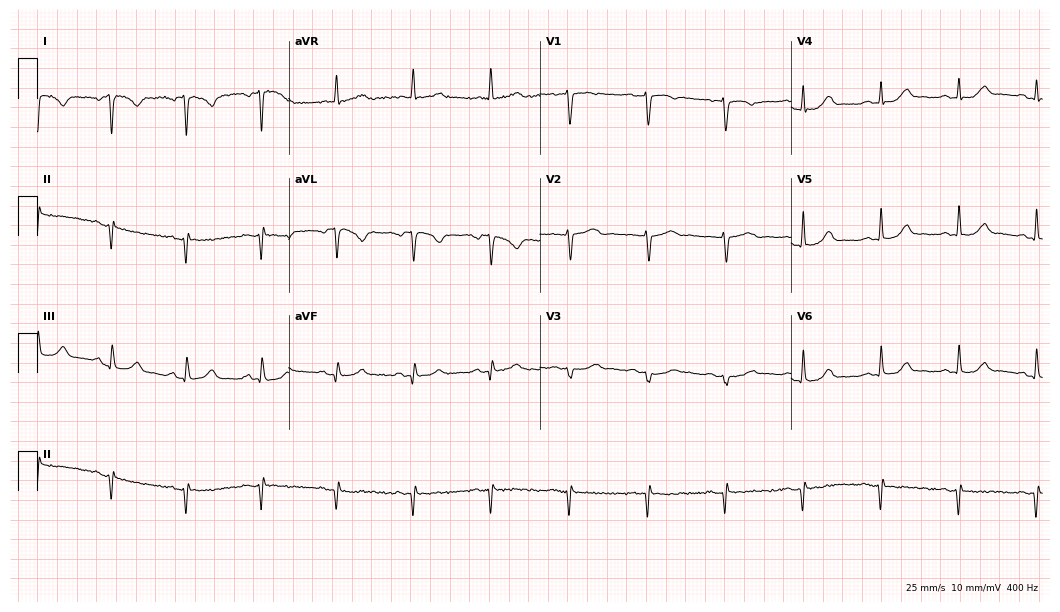
12-lead ECG from a 67-year-old woman. No first-degree AV block, right bundle branch block (RBBB), left bundle branch block (LBBB), sinus bradycardia, atrial fibrillation (AF) or sinus tachycardia recorded for this tracing. Other findings, if any, are not listed.